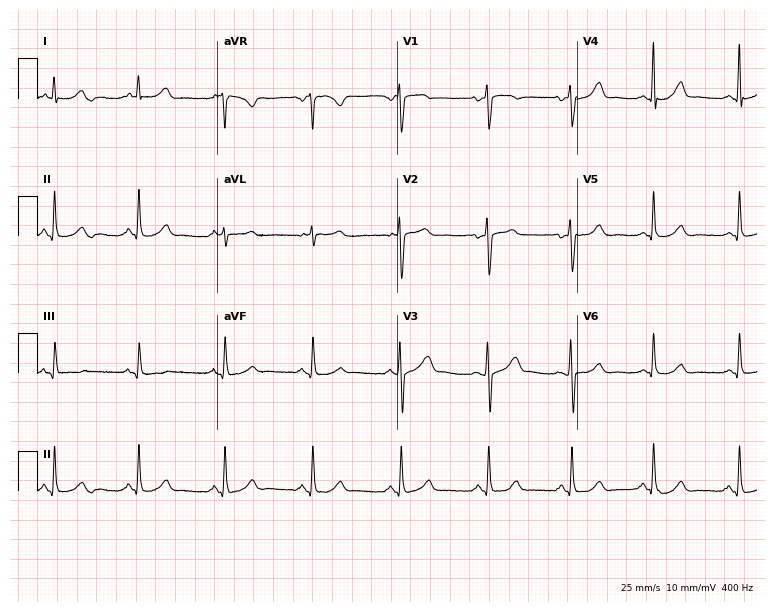
12-lead ECG from a 37-year-old woman. Labelled as a normal ECG.